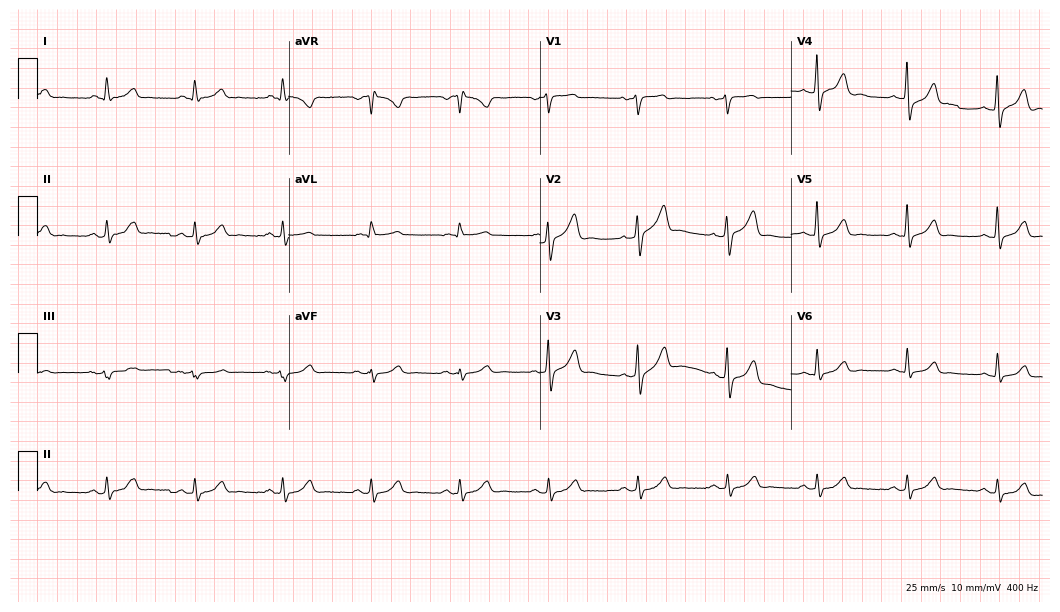
12-lead ECG from a male patient, 67 years old. Labelled as a normal ECG.